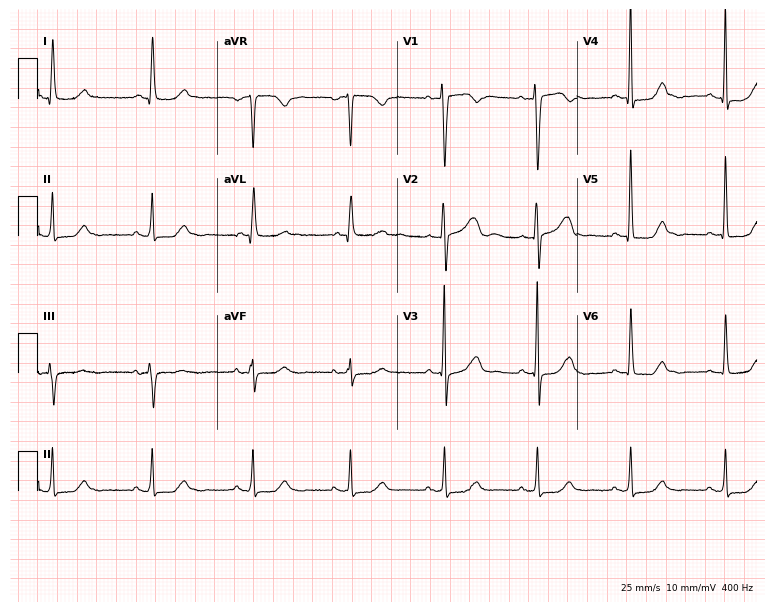
12-lead ECG from a woman, 50 years old (7.3-second recording at 400 Hz). Recorded interpretation: within normal limits.